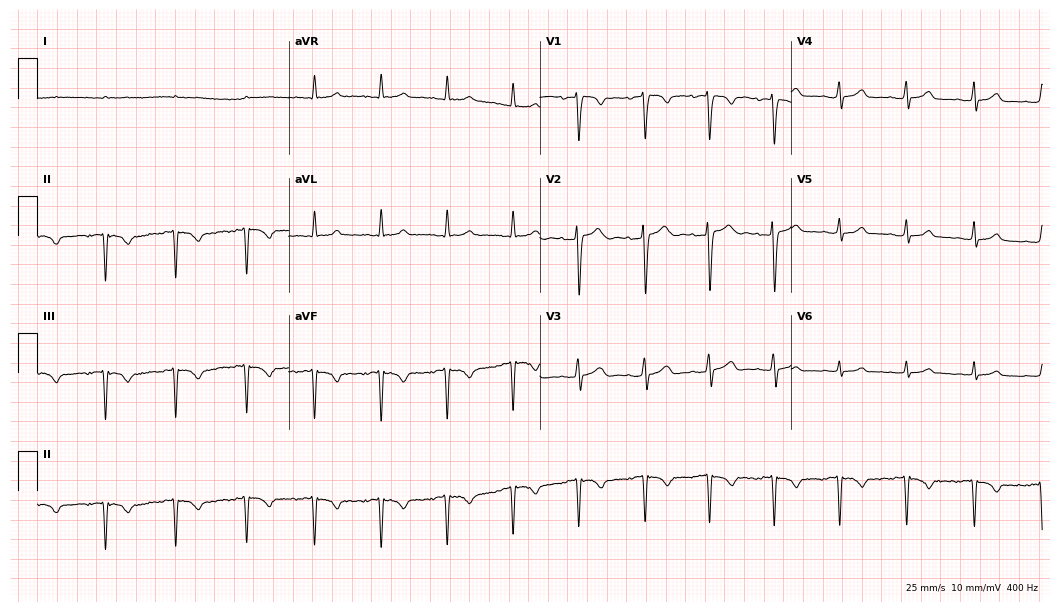
Electrocardiogram, a woman, 29 years old. Of the six screened findings (first-degree AV block, right bundle branch block (RBBB), left bundle branch block (LBBB), sinus bradycardia, atrial fibrillation (AF), sinus tachycardia), none is recorded. Only these six findings were labelled.